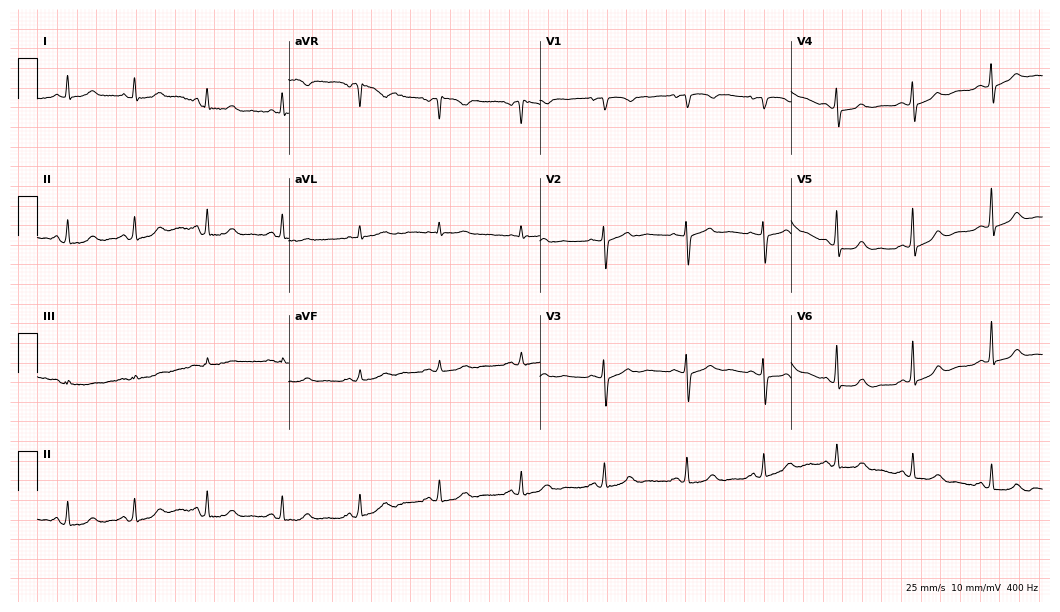
12-lead ECG (10.2-second recording at 400 Hz) from a 79-year-old woman. Labelled as a normal ECG.